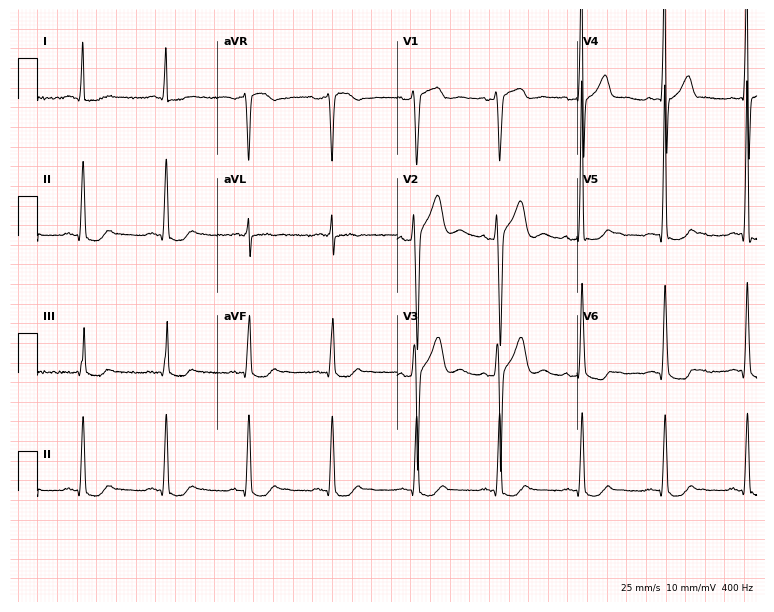
Resting 12-lead electrocardiogram (7.3-second recording at 400 Hz). Patient: a 65-year-old male. None of these six findings is recorded: first-degree AV block, right bundle branch block, left bundle branch block, sinus bradycardia, atrial fibrillation, sinus tachycardia.